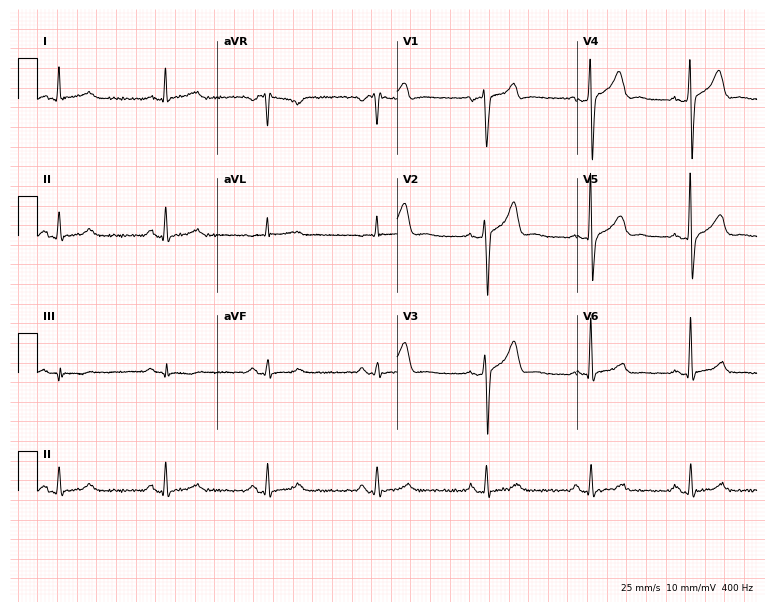
ECG (7.3-second recording at 400 Hz) — a 45-year-old male patient. Labelled as a normal ECG.